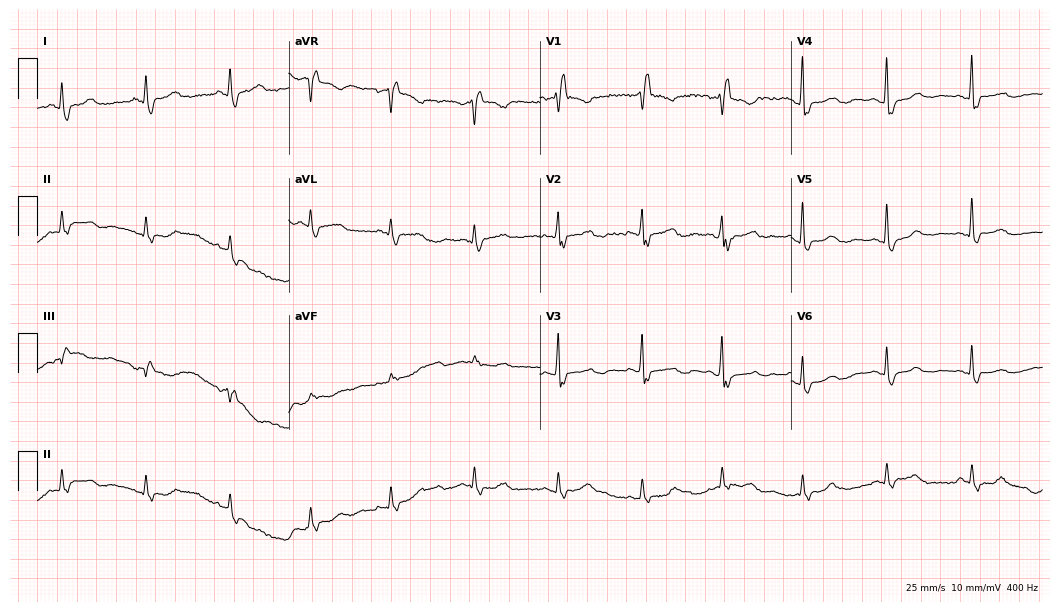
ECG (10.2-second recording at 400 Hz) — a 70-year-old woman. Findings include right bundle branch block (RBBB).